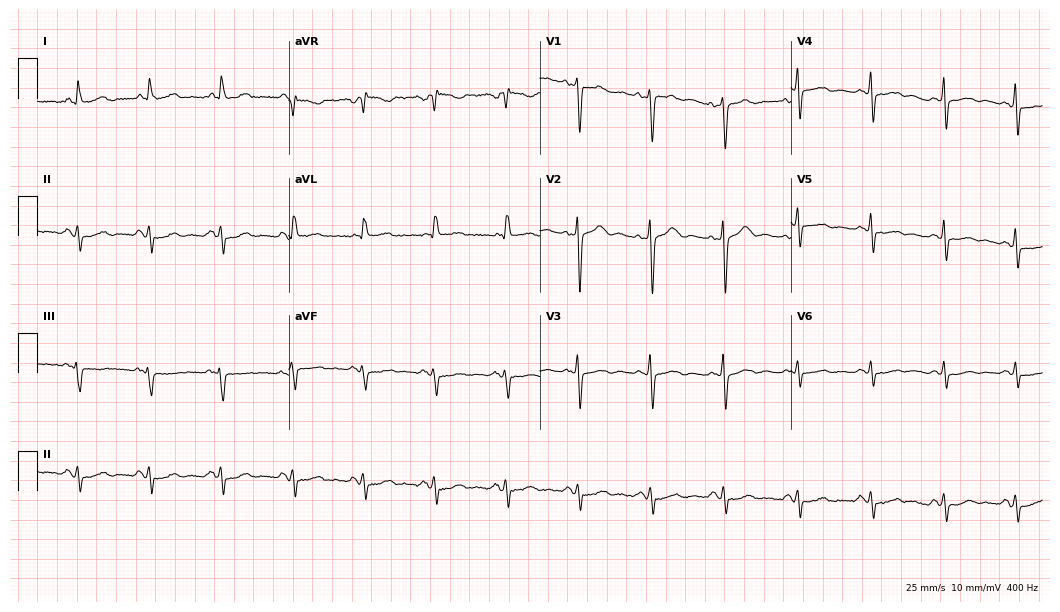
Electrocardiogram (10.2-second recording at 400 Hz), a woman, 57 years old. Of the six screened findings (first-degree AV block, right bundle branch block, left bundle branch block, sinus bradycardia, atrial fibrillation, sinus tachycardia), none is recorded.